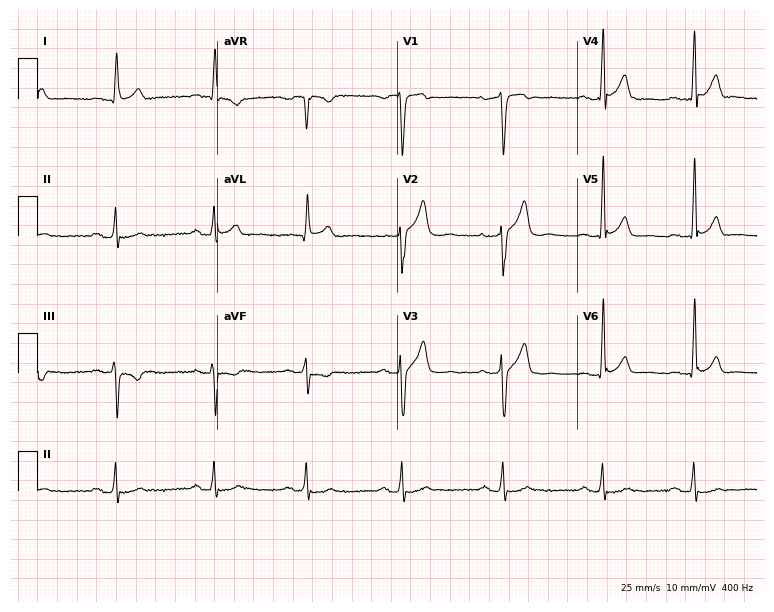
12-lead ECG (7.3-second recording at 400 Hz) from a 51-year-old male patient. Labelled as a normal ECG.